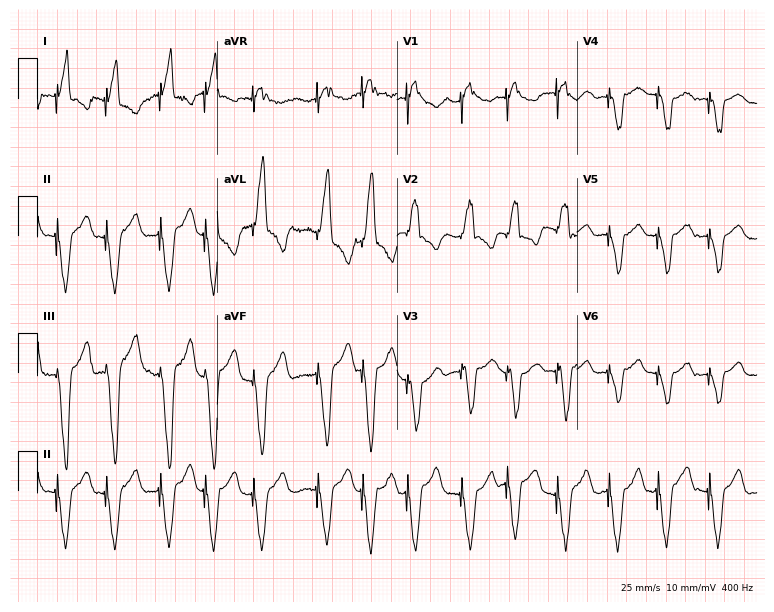
12-lead ECG from a female patient, 67 years old. Screened for six findings — first-degree AV block, right bundle branch block, left bundle branch block, sinus bradycardia, atrial fibrillation, sinus tachycardia — none is recorded. Other findings, if any, are not listed.